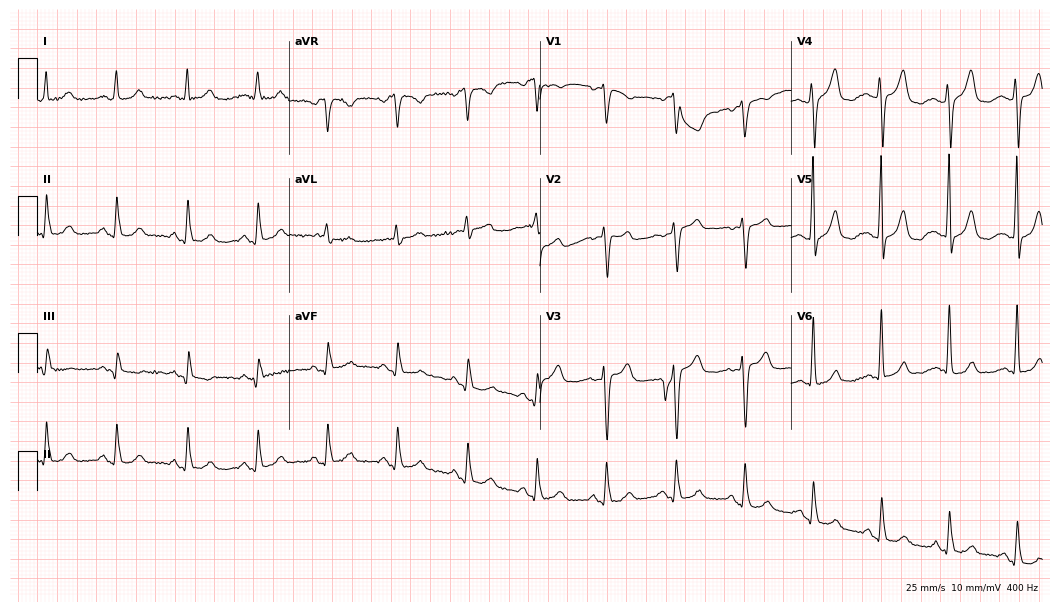
Electrocardiogram, a 54-year-old female patient. Overall reading on record: normal ECG.